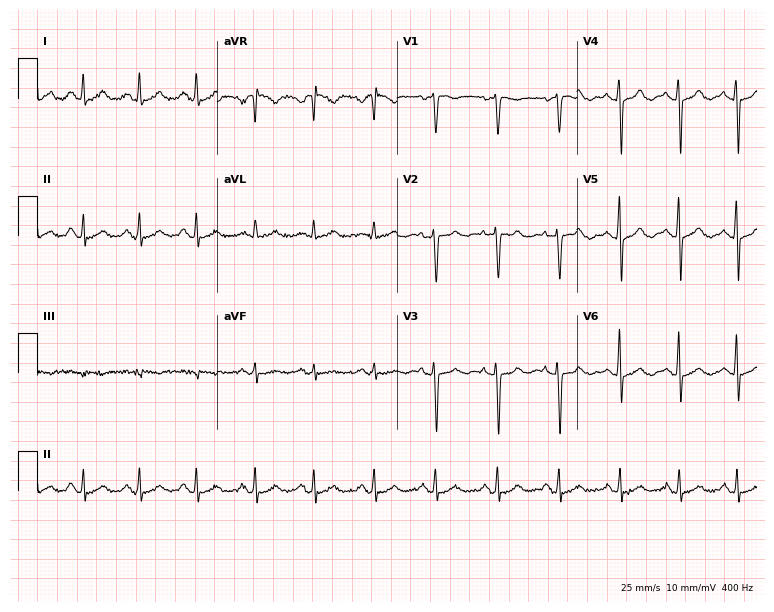
Resting 12-lead electrocardiogram. Patient: a 60-year-old female. None of these six findings is recorded: first-degree AV block, right bundle branch block, left bundle branch block, sinus bradycardia, atrial fibrillation, sinus tachycardia. Other findings, if any, are not listed.